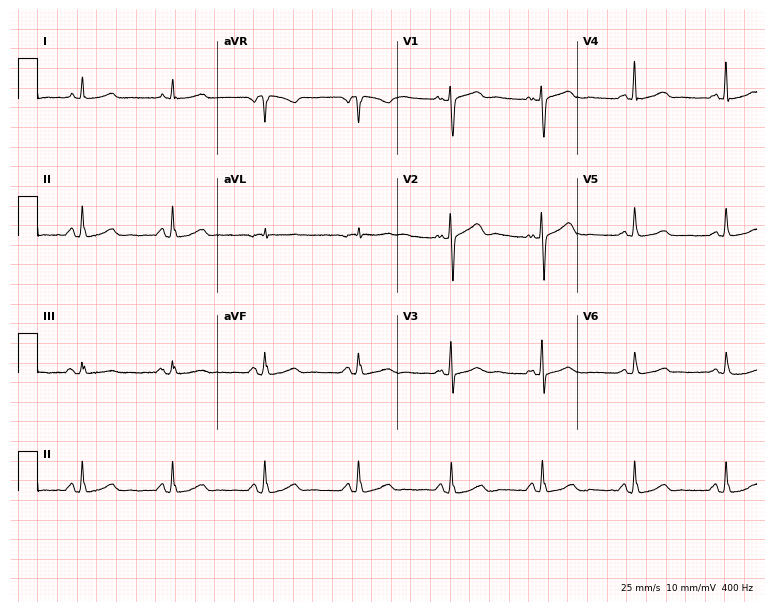
ECG — a 52-year-old female patient. Labelled as a normal ECG.